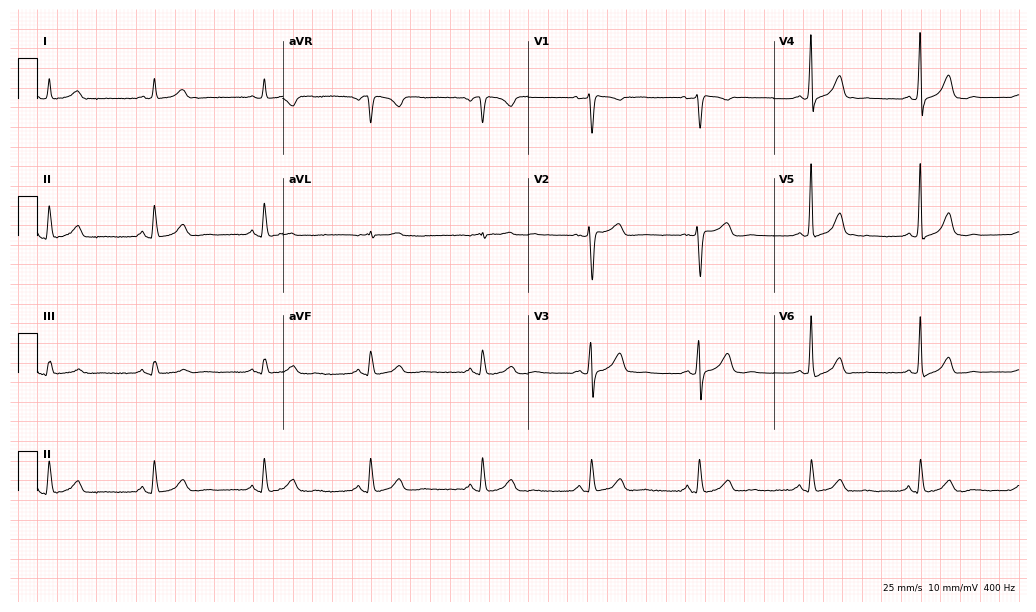
12-lead ECG from a female, 56 years old (10-second recording at 400 Hz). No first-degree AV block, right bundle branch block (RBBB), left bundle branch block (LBBB), sinus bradycardia, atrial fibrillation (AF) or sinus tachycardia recorded for this tracing. Only these six findings were labelled.